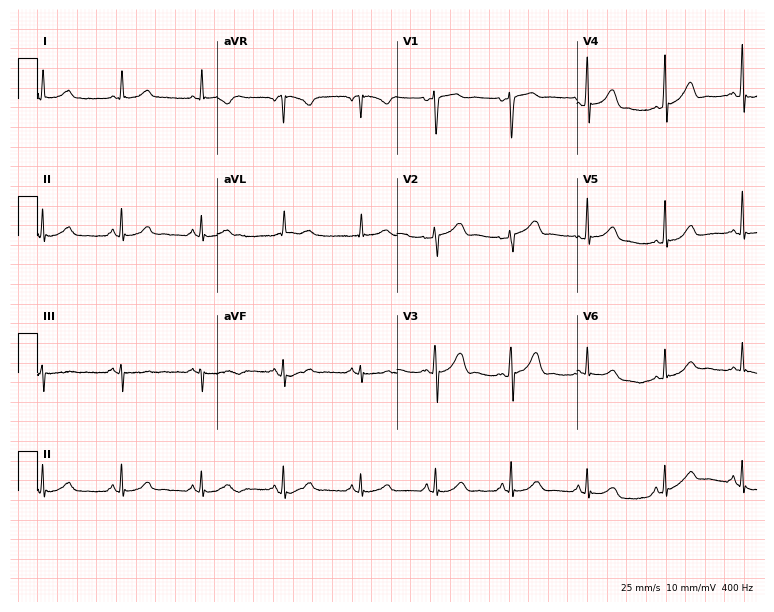
Resting 12-lead electrocardiogram (7.3-second recording at 400 Hz). Patient: a female, 57 years old. Read as a normal ECG.